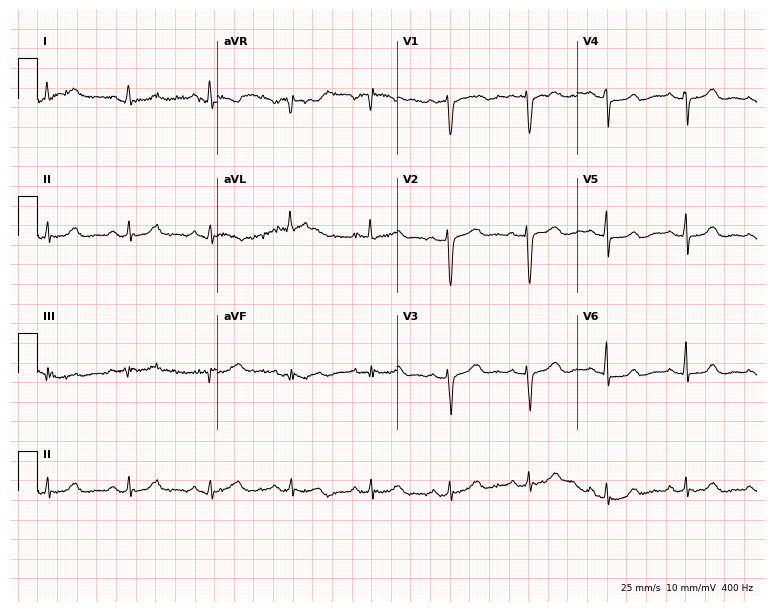
12-lead ECG (7.3-second recording at 400 Hz) from a female patient, 62 years old. Labelled as a normal ECG.